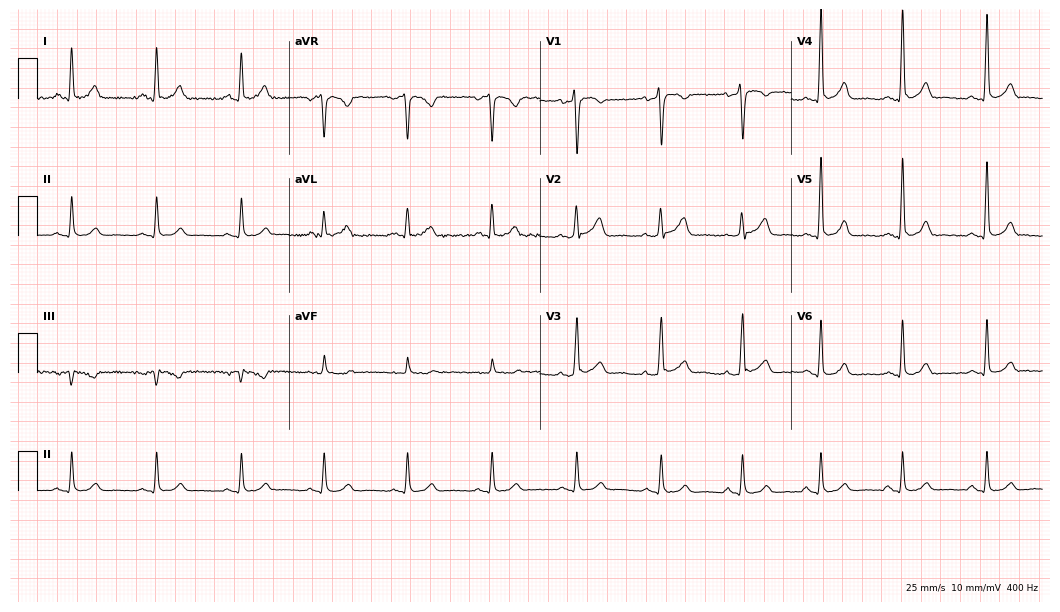
Resting 12-lead electrocardiogram. Patient: a 47-year-old male. Read as a normal ECG.